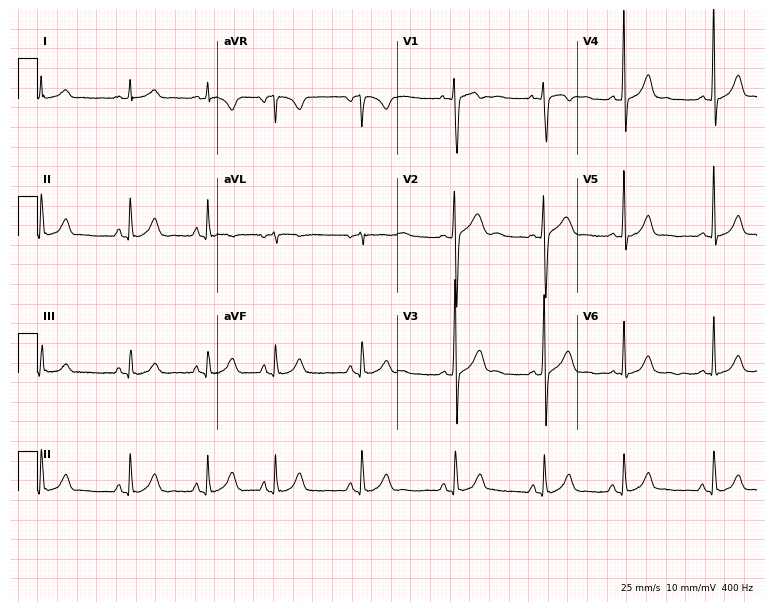
ECG — a male, 17 years old. Labelled as a normal ECG.